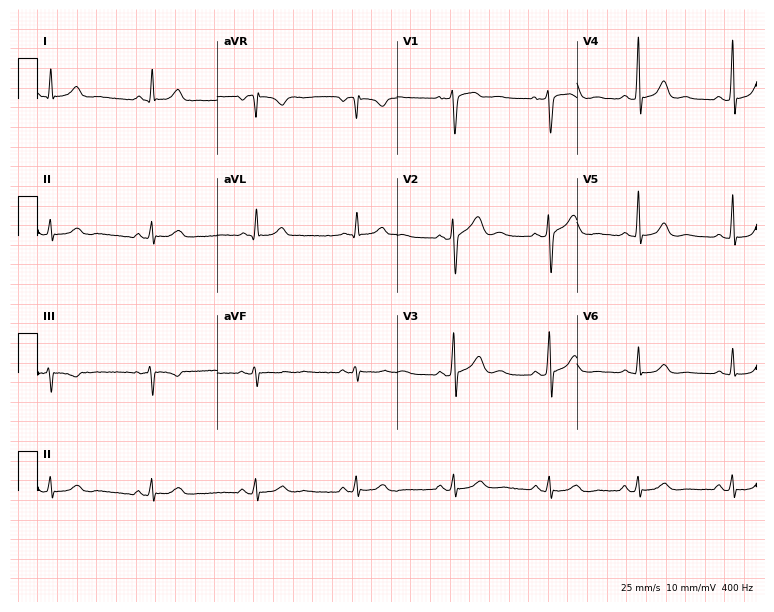
Standard 12-lead ECG recorded from a 47-year-old woman (7.3-second recording at 400 Hz). None of these six findings is recorded: first-degree AV block, right bundle branch block, left bundle branch block, sinus bradycardia, atrial fibrillation, sinus tachycardia. Only these six findings were labelled.